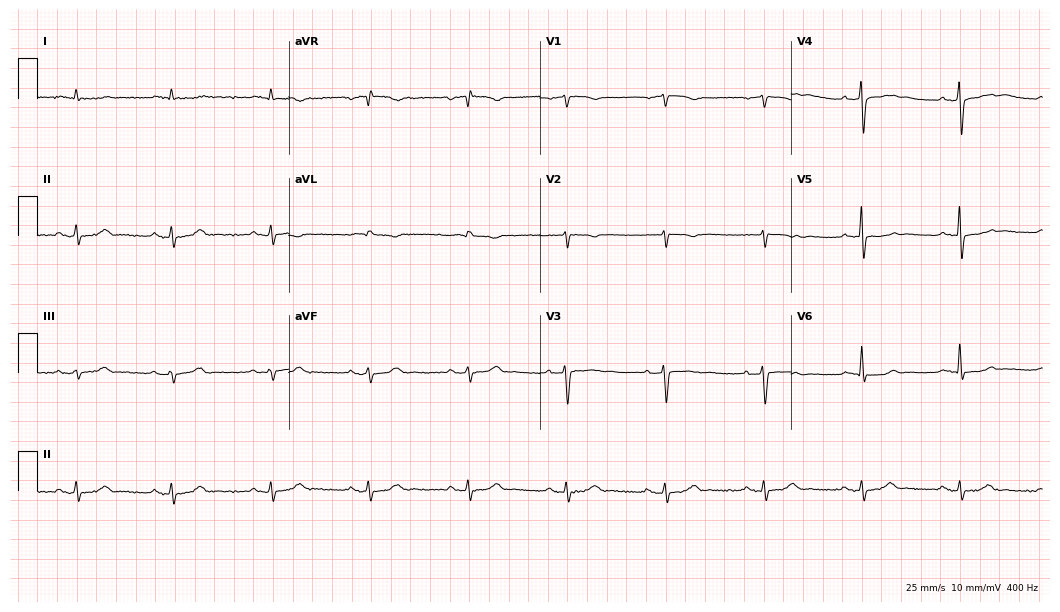
Electrocardiogram (10.2-second recording at 400 Hz), a male patient, 76 years old. Of the six screened findings (first-degree AV block, right bundle branch block (RBBB), left bundle branch block (LBBB), sinus bradycardia, atrial fibrillation (AF), sinus tachycardia), none is recorded.